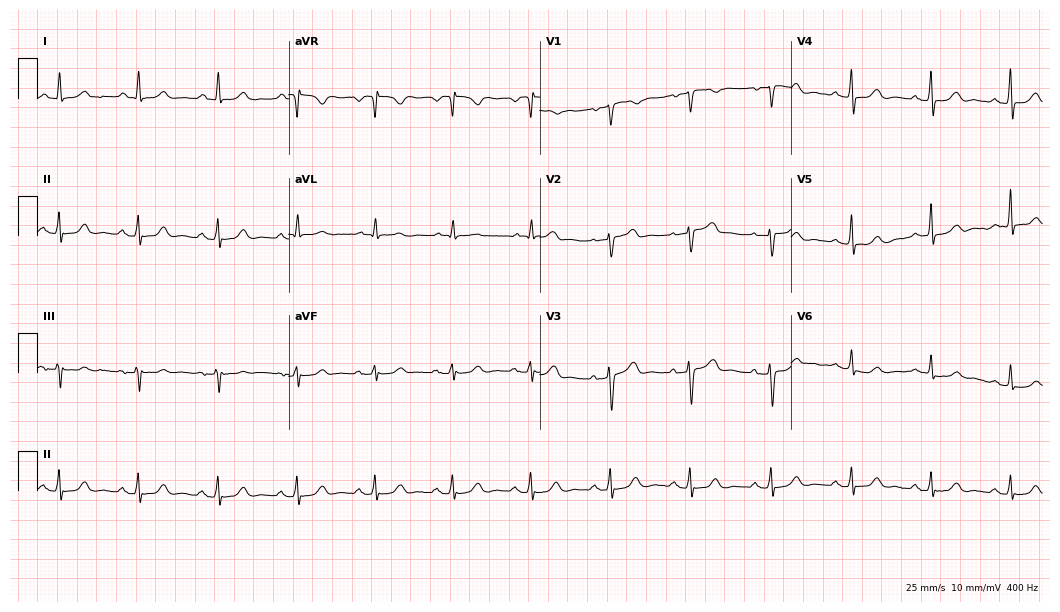
Electrocardiogram, a 61-year-old female. Overall reading on record: normal ECG.